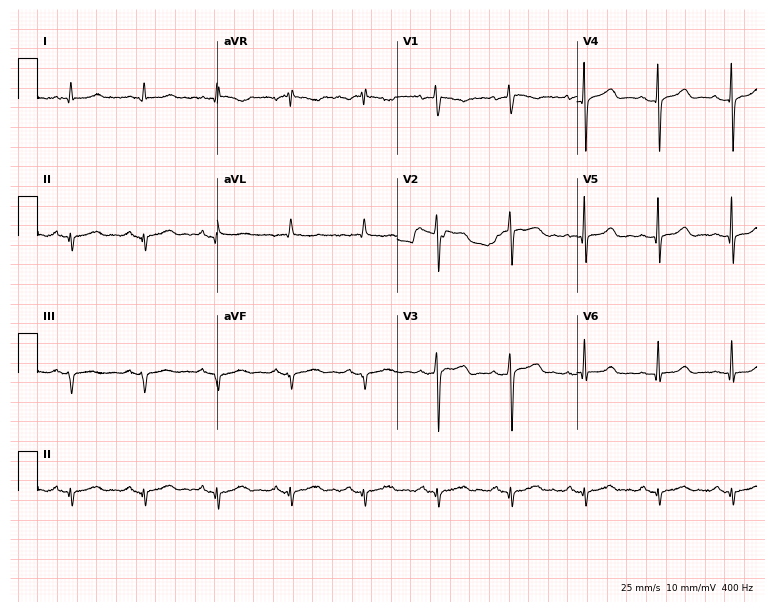
Standard 12-lead ECG recorded from a male, 78 years old. None of these six findings is recorded: first-degree AV block, right bundle branch block, left bundle branch block, sinus bradycardia, atrial fibrillation, sinus tachycardia. Only these six findings were labelled.